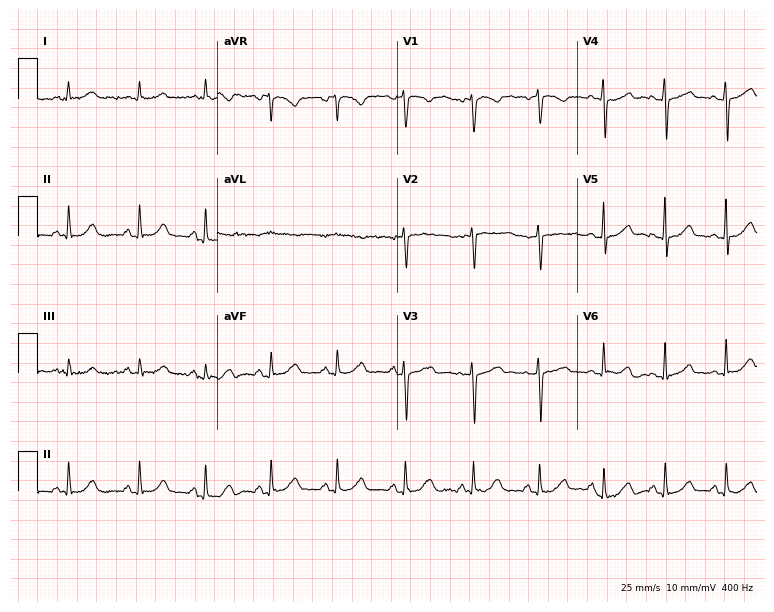
Resting 12-lead electrocardiogram. Patient: a woman, 48 years old. Read as a normal ECG.